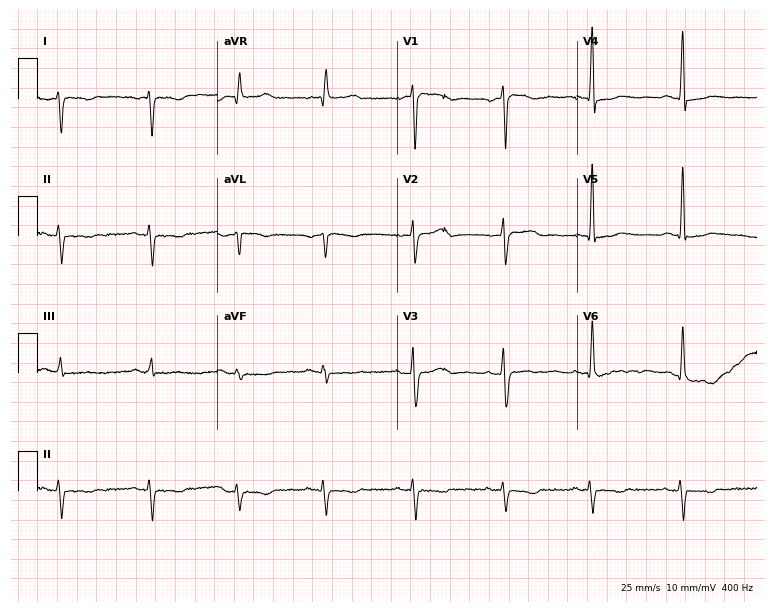
Standard 12-lead ECG recorded from a 65-year-old female patient (7.3-second recording at 400 Hz). None of these six findings is recorded: first-degree AV block, right bundle branch block, left bundle branch block, sinus bradycardia, atrial fibrillation, sinus tachycardia.